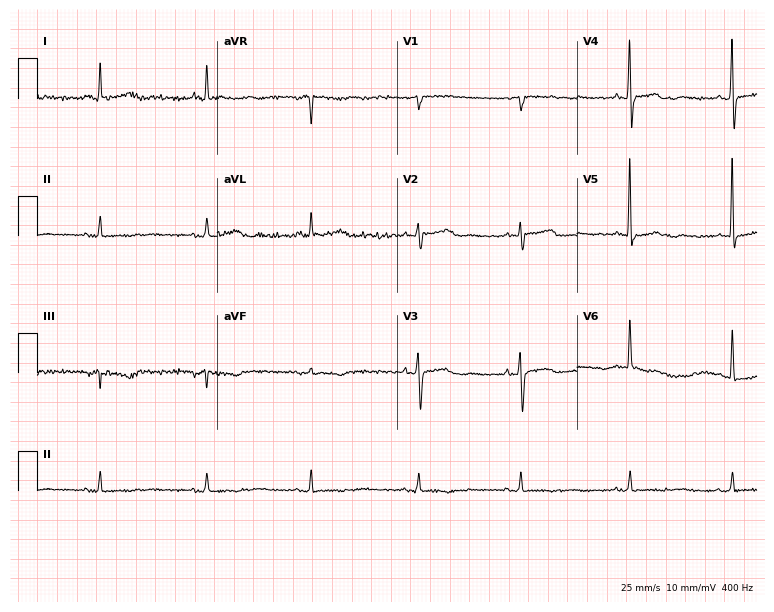
12-lead ECG from a 78-year-old female patient. Screened for six findings — first-degree AV block, right bundle branch block (RBBB), left bundle branch block (LBBB), sinus bradycardia, atrial fibrillation (AF), sinus tachycardia — none is recorded. Other findings, if any, are not listed.